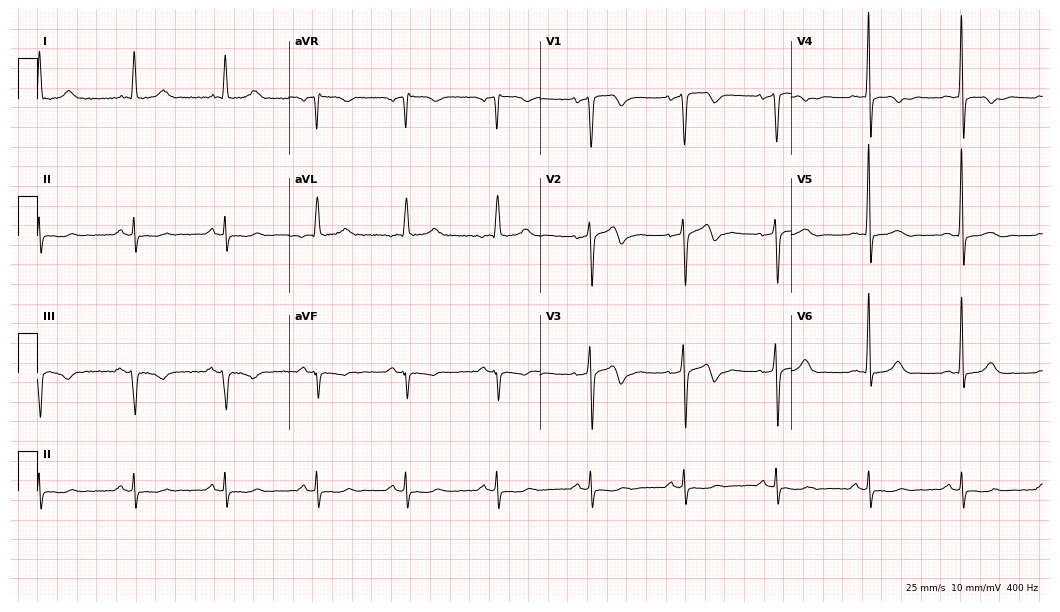
Standard 12-lead ECG recorded from a male, 84 years old (10.2-second recording at 400 Hz). None of these six findings is recorded: first-degree AV block, right bundle branch block, left bundle branch block, sinus bradycardia, atrial fibrillation, sinus tachycardia.